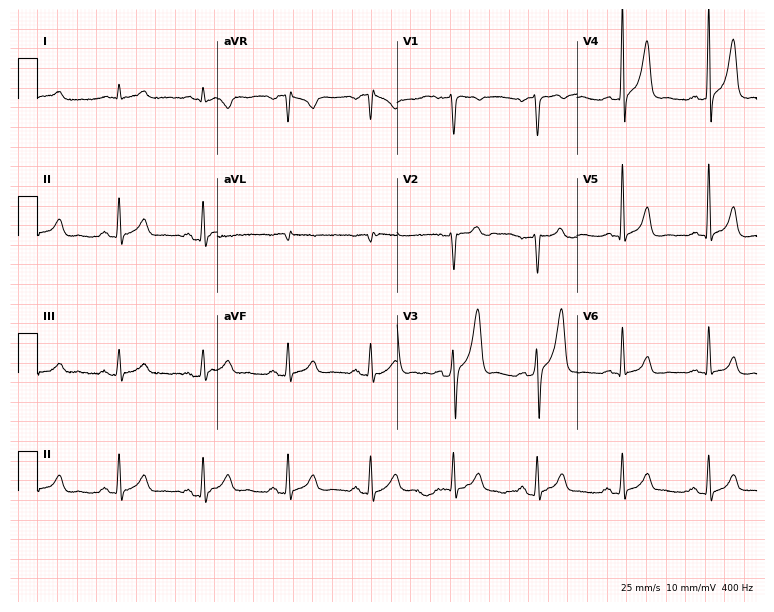
12-lead ECG (7.3-second recording at 400 Hz) from a male, 40 years old. Labelled as a normal ECG.